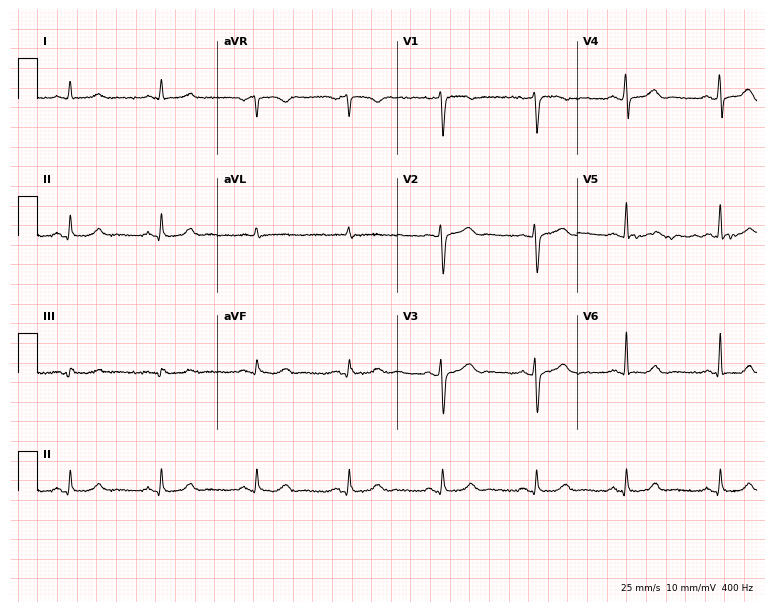
12-lead ECG from a 56-year-old female patient. Screened for six findings — first-degree AV block, right bundle branch block, left bundle branch block, sinus bradycardia, atrial fibrillation, sinus tachycardia — none is recorded.